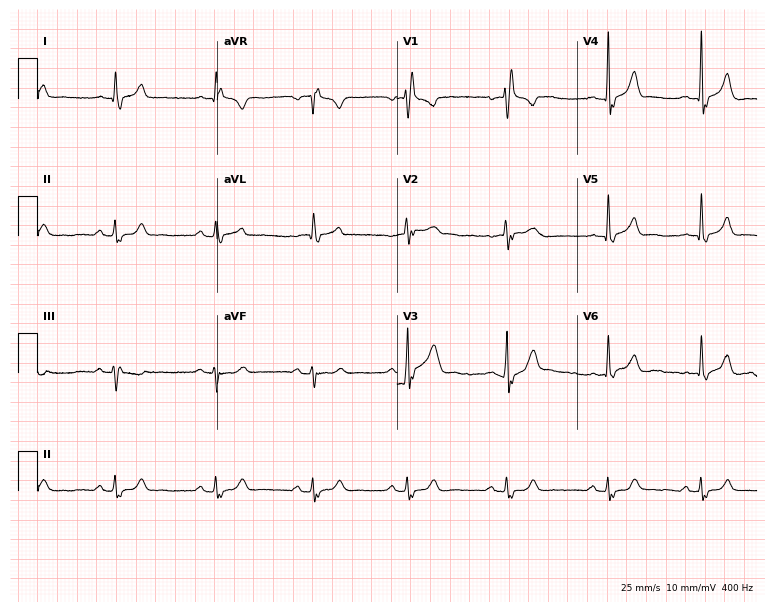
12-lead ECG from a male, 44 years old. No first-degree AV block, right bundle branch block, left bundle branch block, sinus bradycardia, atrial fibrillation or sinus tachycardia recorded for this tracing. Only these six findings were labelled.